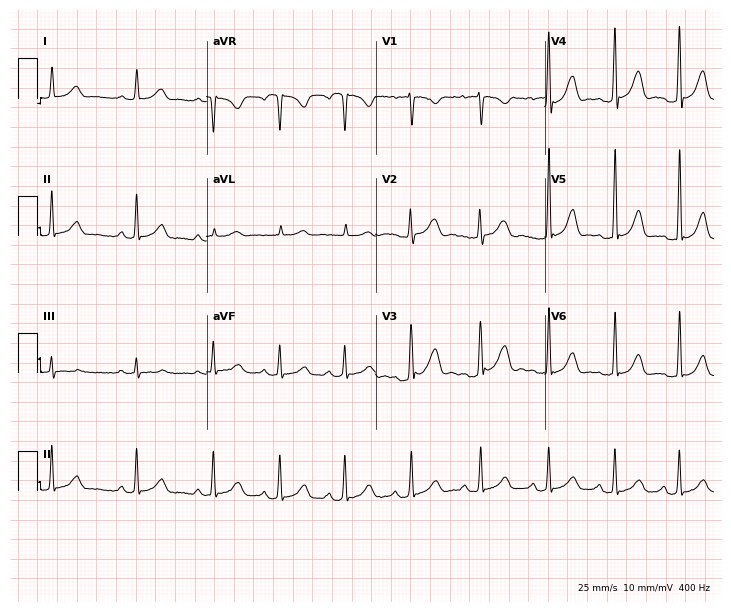
Electrocardiogram (6.9-second recording at 400 Hz), a 19-year-old female. Of the six screened findings (first-degree AV block, right bundle branch block, left bundle branch block, sinus bradycardia, atrial fibrillation, sinus tachycardia), none is recorded. Findings outside these six are not listed.